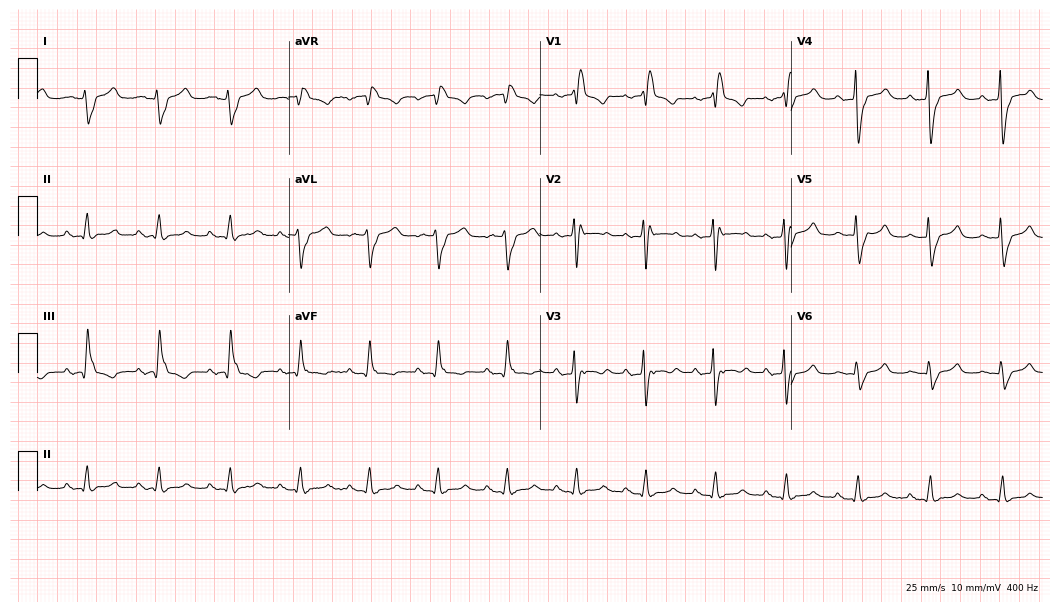
Standard 12-lead ECG recorded from a 66-year-old man (10.2-second recording at 400 Hz). The tracing shows right bundle branch block (RBBB).